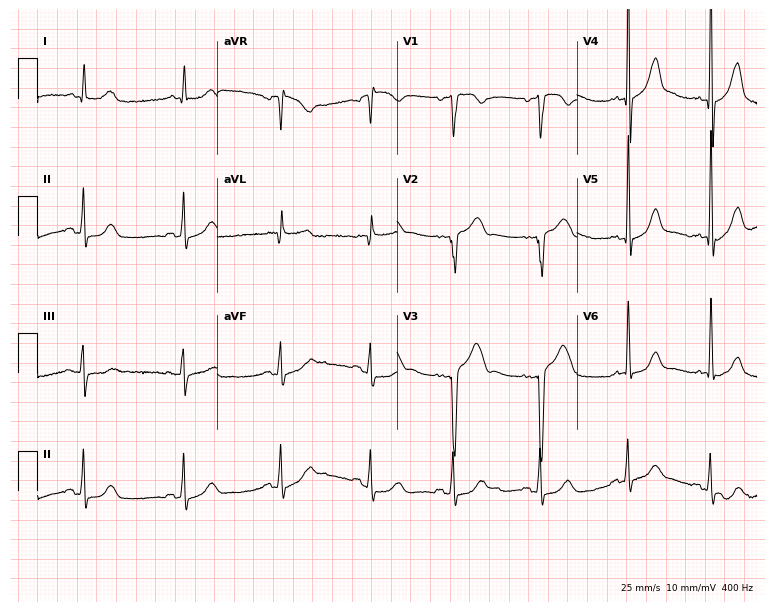
Electrocardiogram, a 40-year-old male. Of the six screened findings (first-degree AV block, right bundle branch block (RBBB), left bundle branch block (LBBB), sinus bradycardia, atrial fibrillation (AF), sinus tachycardia), none is recorded. Only these six findings were labelled.